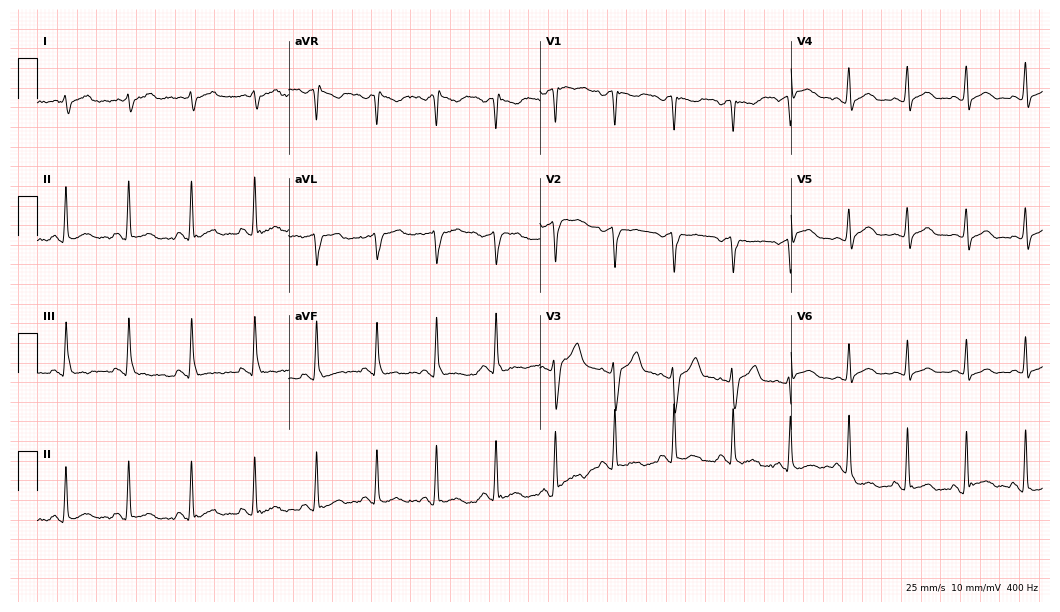
Standard 12-lead ECG recorded from a male patient, 43 years old (10.2-second recording at 400 Hz). Read as a normal ECG.